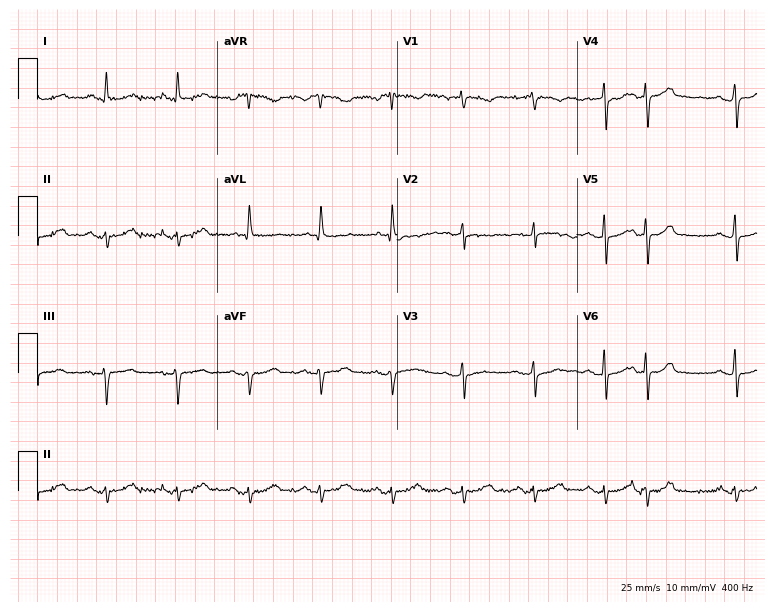
12-lead ECG from an 81-year-old male. No first-degree AV block, right bundle branch block (RBBB), left bundle branch block (LBBB), sinus bradycardia, atrial fibrillation (AF) or sinus tachycardia recorded for this tracing.